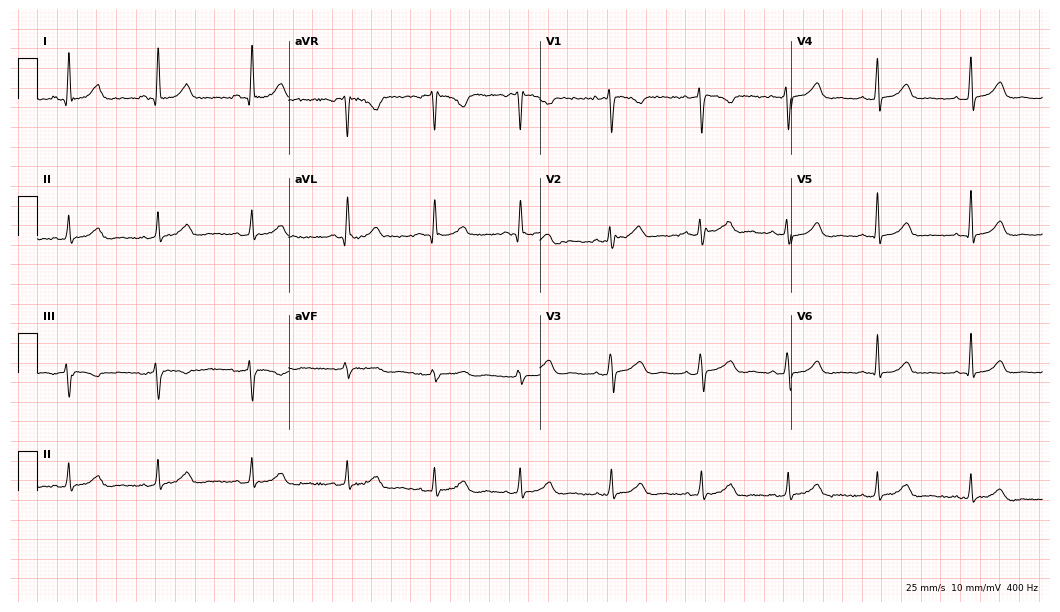
12-lead ECG from a 44-year-old female. Recorded interpretation: within normal limits.